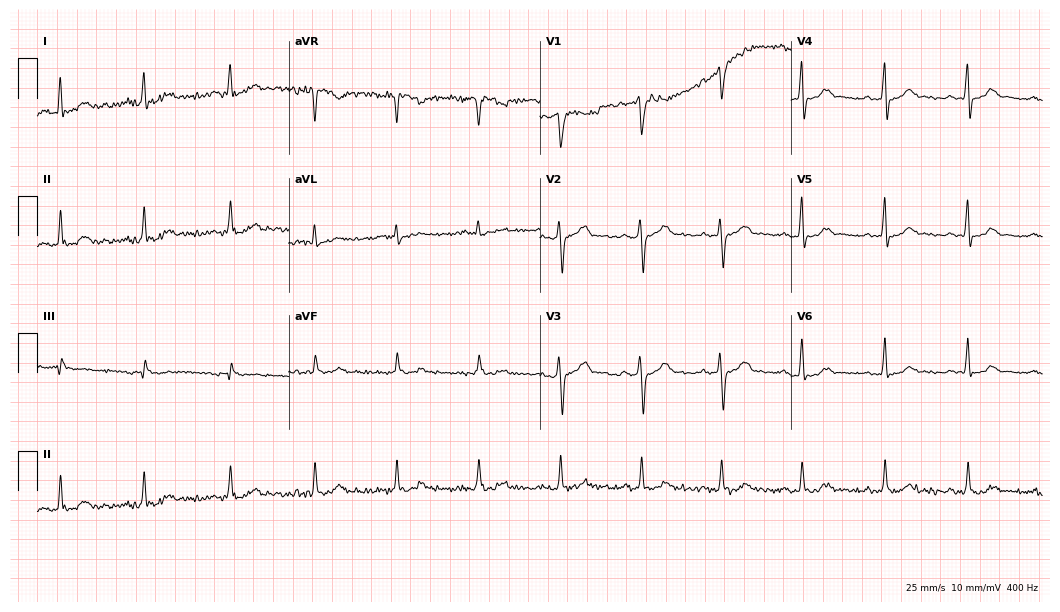
Resting 12-lead electrocardiogram (10.2-second recording at 400 Hz). Patient: a male, 34 years old. None of these six findings is recorded: first-degree AV block, right bundle branch block, left bundle branch block, sinus bradycardia, atrial fibrillation, sinus tachycardia. Only these six findings were labelled.